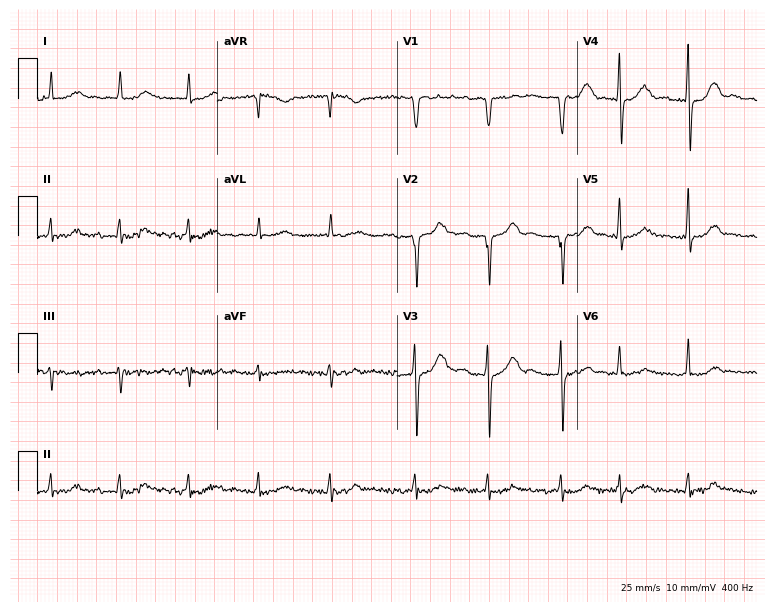
Electrocardiogram (7.3-second recording at 400 Hz), an 83-year-old male. Interpretation includes atrial fibrillation.